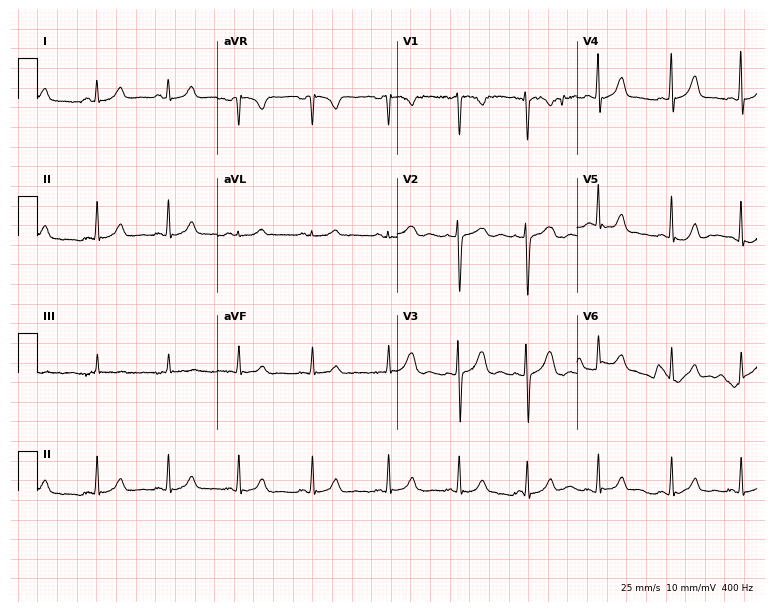
12-lead ECG from a female patient, 18 years old. Screened for six findings — first-degree AV block, right bundle branch block, left bundle branch block, sinus bradycardia, atrial fibrillation, sinus tachycardia — none is recorded.